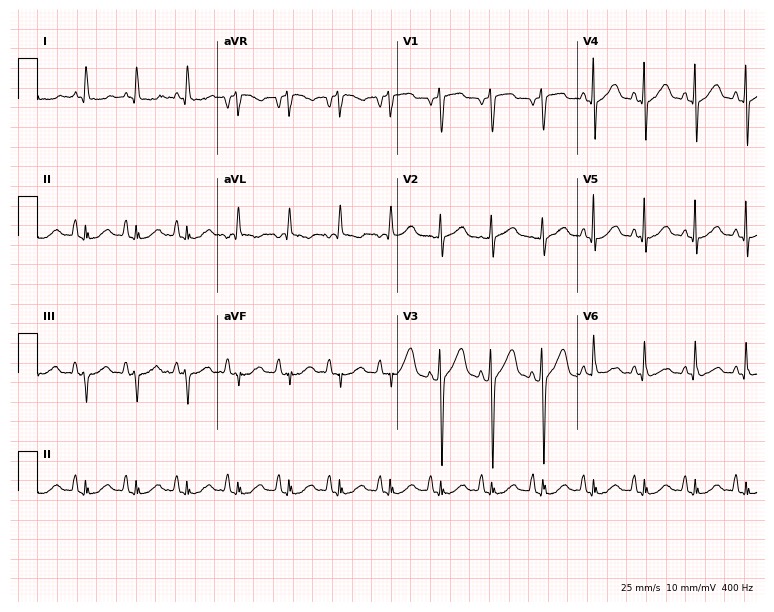
12-lead ECG from a 70-year-old female patient. Shows sinus tachycardia (a sinus rate of 100 beats per minute or more).